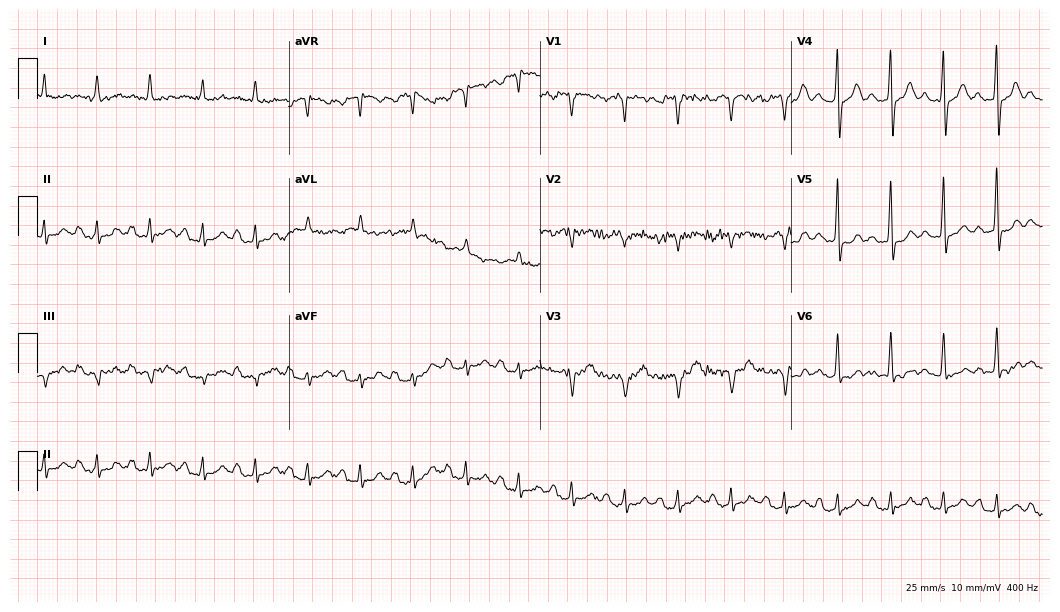
ECG — a 69-year-old male. Findings include sinus tachycardia (a sinus rate of 100 beats per minute or more).